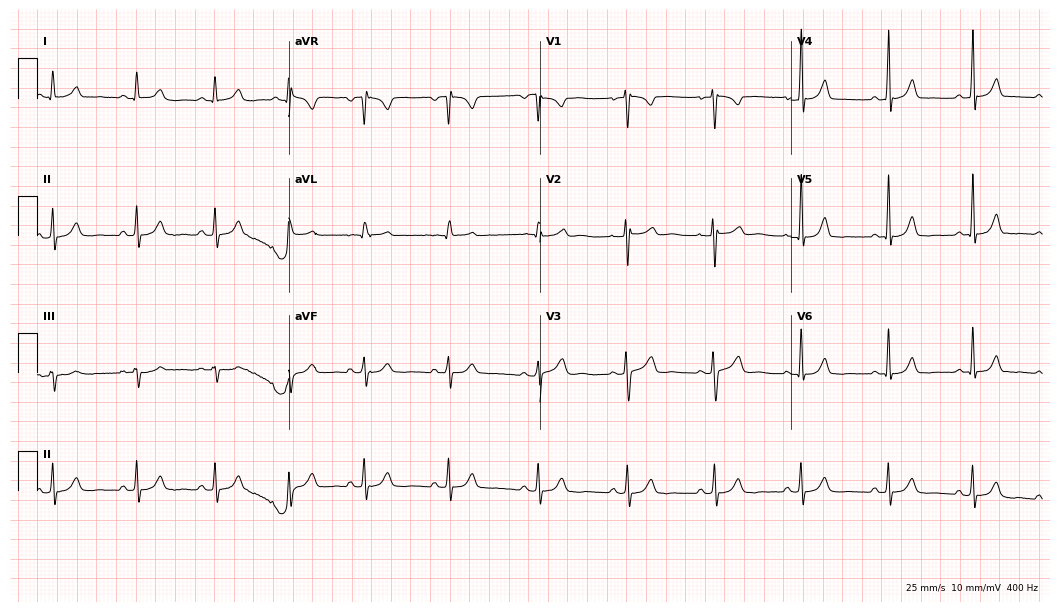
ECG (10.2-second recording at 400 Hz) — a female, 23 years old. Screened for six findings — first-degree AV block, right bundle branch block, left bundle branch block, sinus bradycardia, atrial fibrillation, sinus tachycardia — none is recorded.